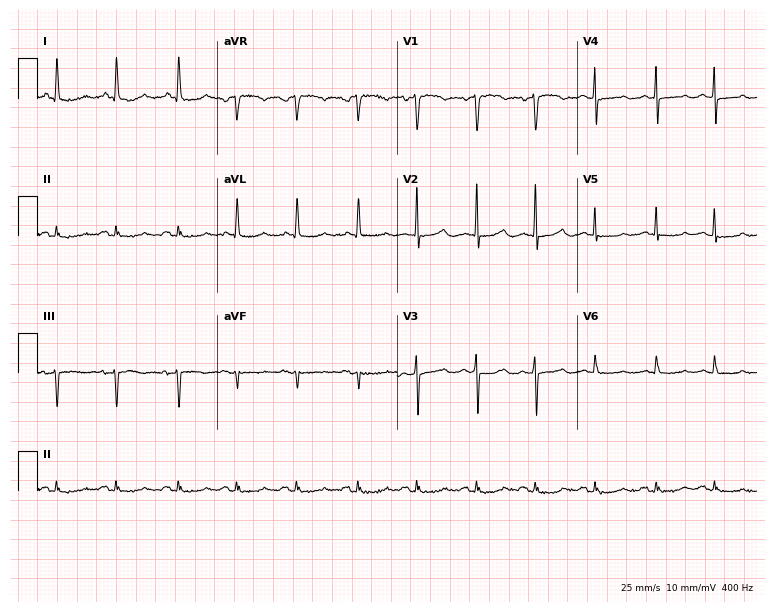
12-lead ECG from a 73-year-old female. No first-degree AV block, right bundle branch block, left bundle branch block, sinus bradycardia, atrial fibrillation or sinus tachycardia recorded for this tracing.